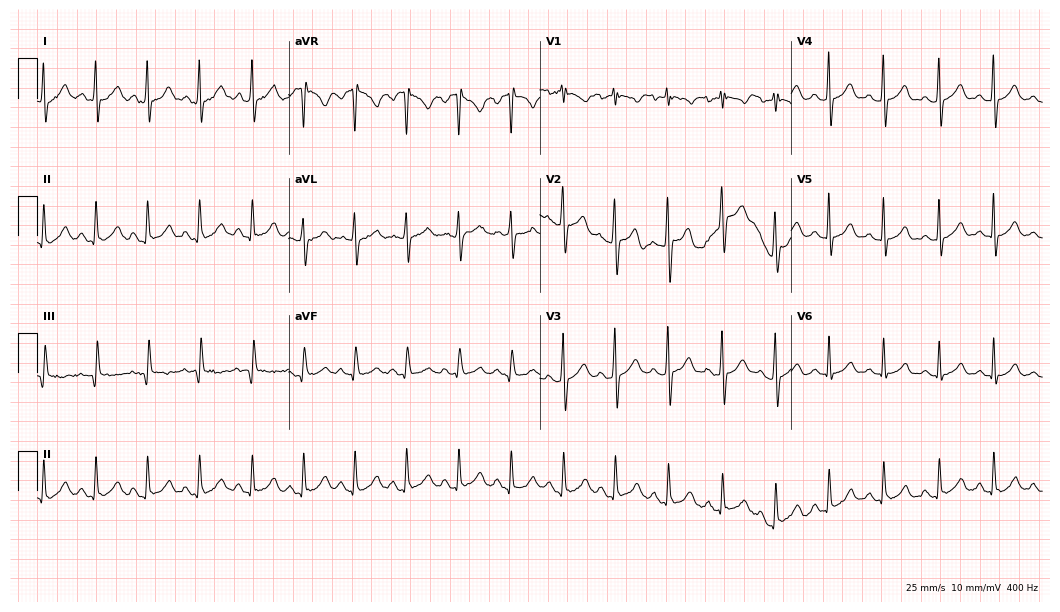
ECG (10.2-second recording at 400 Hz) — a 22-year-old woman. Screened for six findings — first-degree AV block, right bundle branch block (RBBB), left bundle branch block (LBBB), sinus bradycardia, atrial fibrillation (AF), sinus tachycardia — none is recorded. Other findings, if any, are not listed.